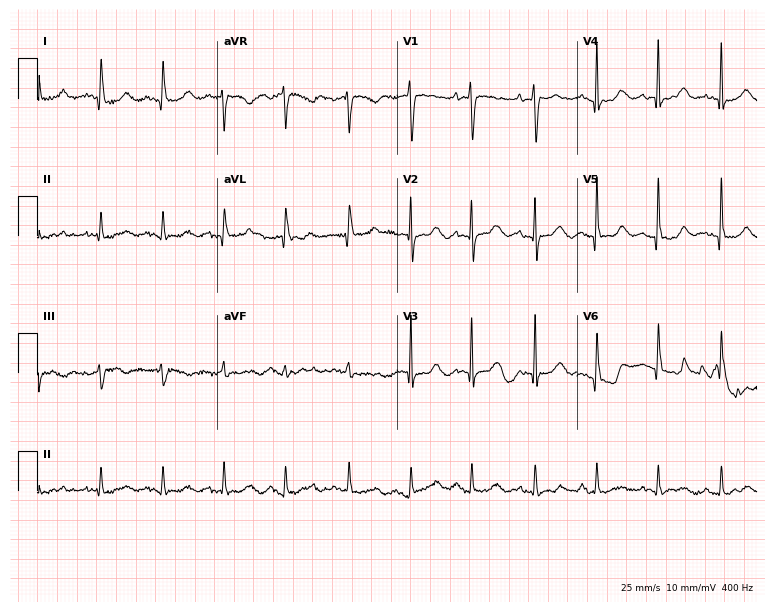
Electrocardiogram (7.3-second recording at 400 Hz), a 69-year-old woman. Of the six screened findings (first-degree AV block, right bundle branch block (RBBB), left bundle branch block (LBBB), sinus bradycardia, atrial fibrillation (AF), sinus tachycardia), none is recorded.